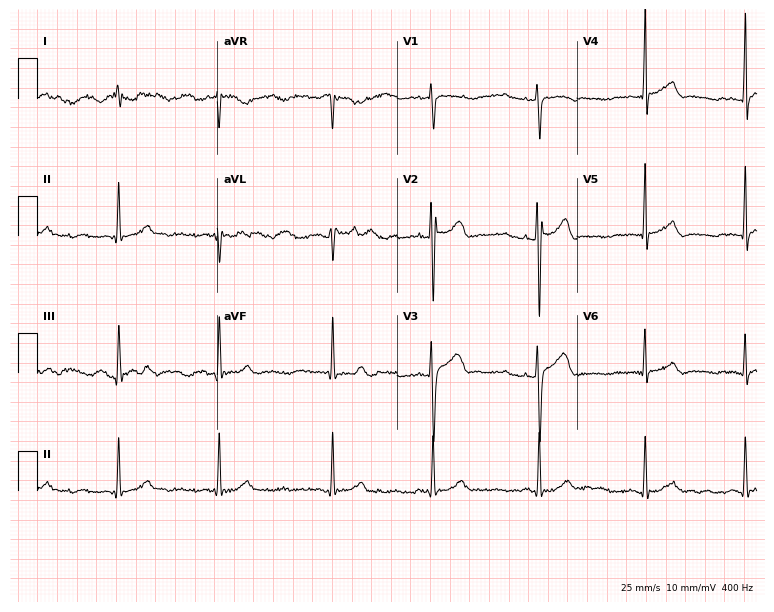
ECG (7.3-second recording at 400 Hz) — a 23-year-old male patient. Labelled as a normal ECG.